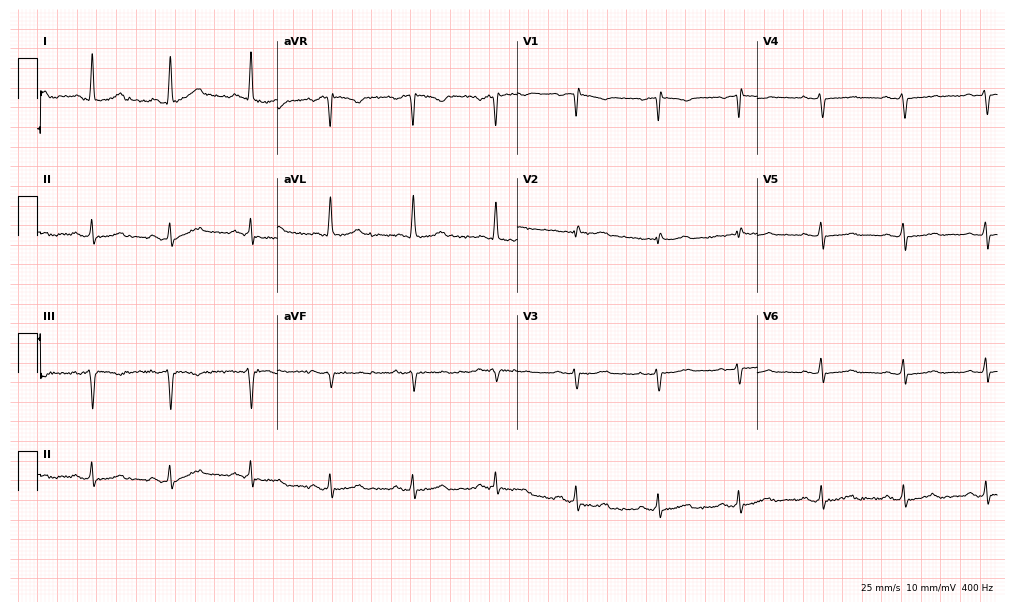
Standard 12-lead ECG recorded from a 56-year-old woman. None of these six findings is recorded: first-degree AV block, right bundle branch block, left bundle branch block, sinus bradycardia, atrial fibrillation, sinus tachycardia. Findings outside these six are not listed.